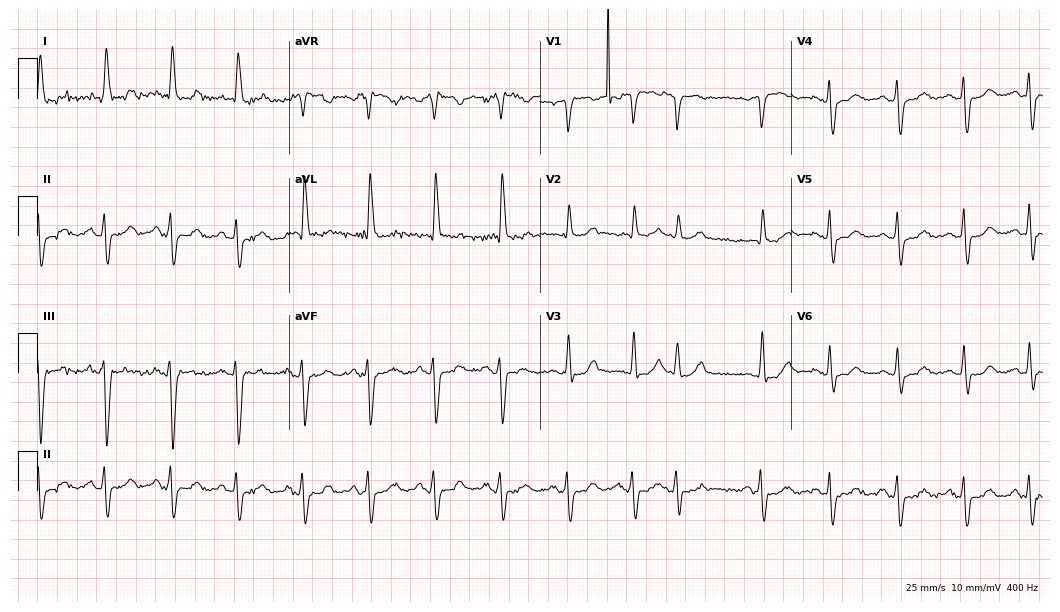
Standard 12-lead ECG recorded from a female, 73 years old. The tracing shows right bundle branch block (RBBB).